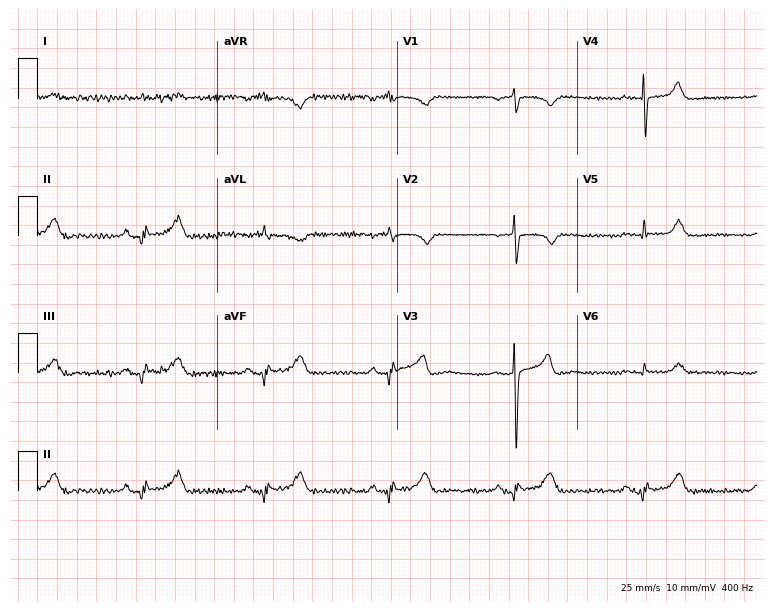
12-lead ECG (7.3-second recording at 400 Hz) from a 67-year-old male. Screened for six findings — first-degree AV block, right bundle branch block (RBBB), left bundle branch block (LBBB), sinus bradycardia, atrial fibrillation (AF), sinus tachycardia — none is recorded.